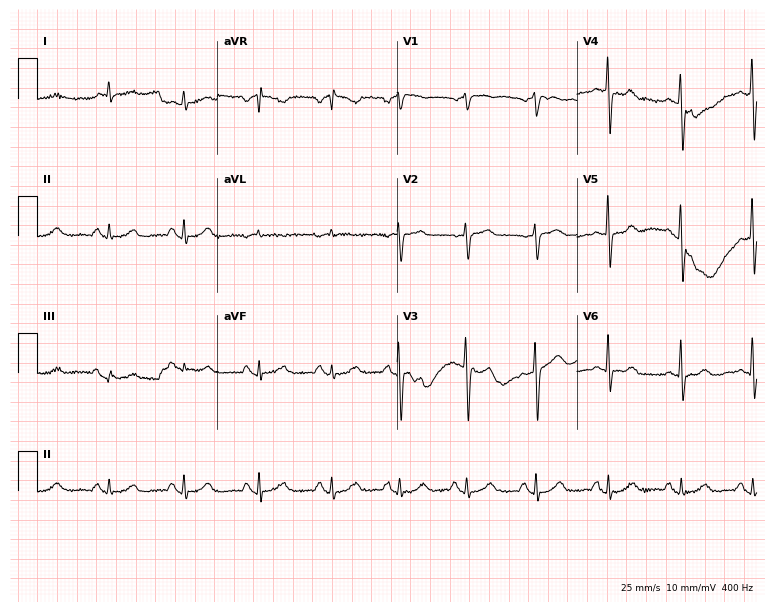
Standard 12-lead ECG recorded from a male, 70 years old. Read as a normal ECG.